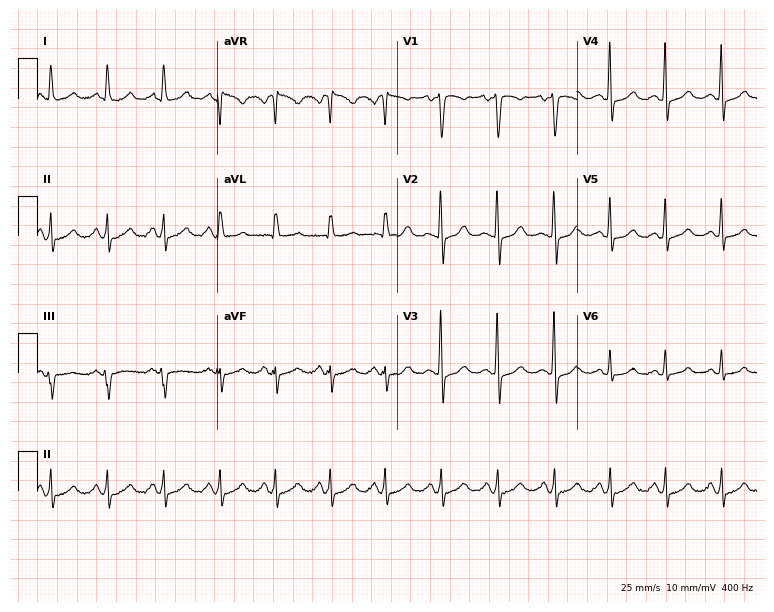
12-lead ECG from a female patient, 48 years old (7.3-second recording at 400 Hz). Shows sinus tachycardia (a sinus rate of 100 beats per minute or more).